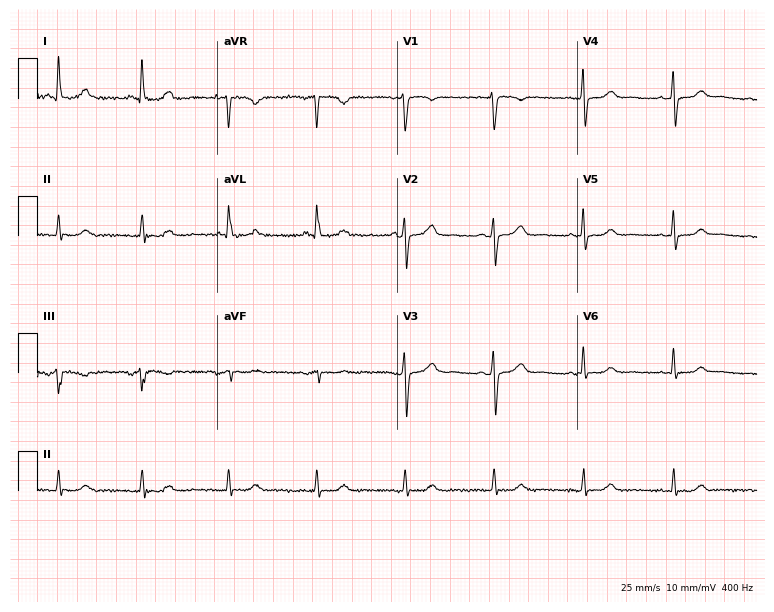
ECG — a 53-year-old woman. Screened for six findings — first-degree AV block, right bundle branch block, left bundle branch block, sinus bradycardia, atrial fibrillation, sinus tachycardia — none is recorded.